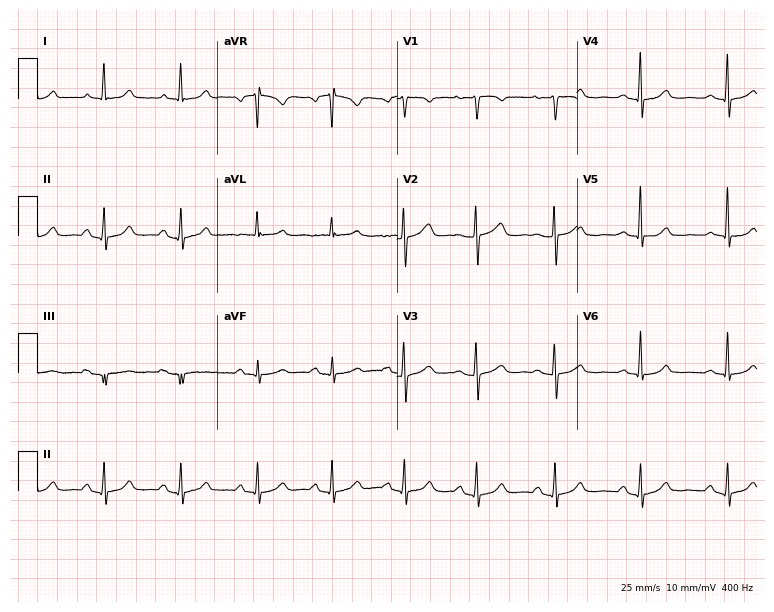
12-lead ECG (7.3-second recording at 400 Hz) from a woman, 59 years old. Labelled as a normal ECG.